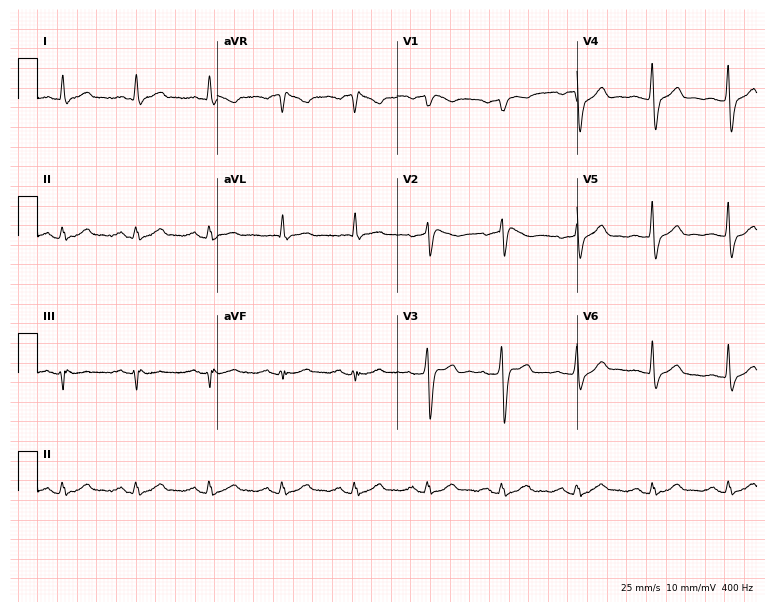
ECG — a 48-year-old male. Screened for six findings — first-degree AV block, right bundle branch block (RBBB), left bundle branch block (LBBB), sinus bradycardia, atrial fibrillation (AF), sinus tachycardia — none is recorded.